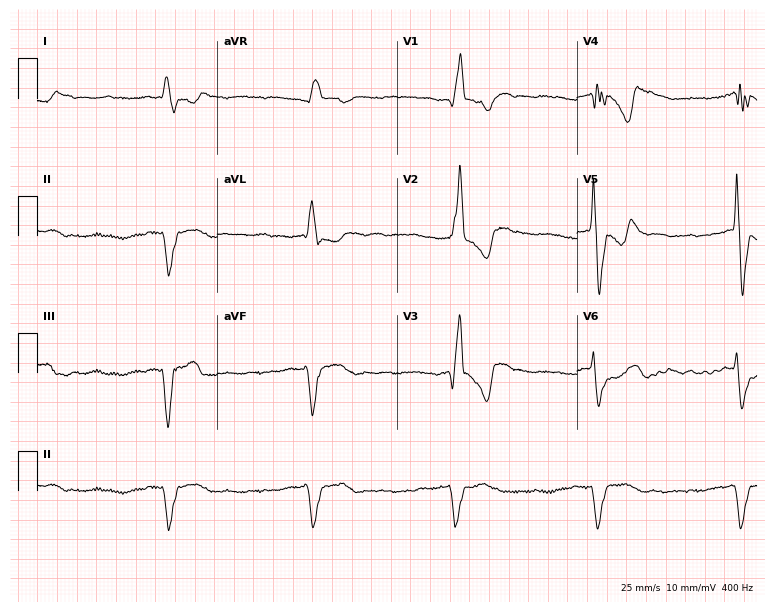
ECG (7.3-second recording at 400 Hz) — an 84-year-old male. Findings include right bundle branch block.